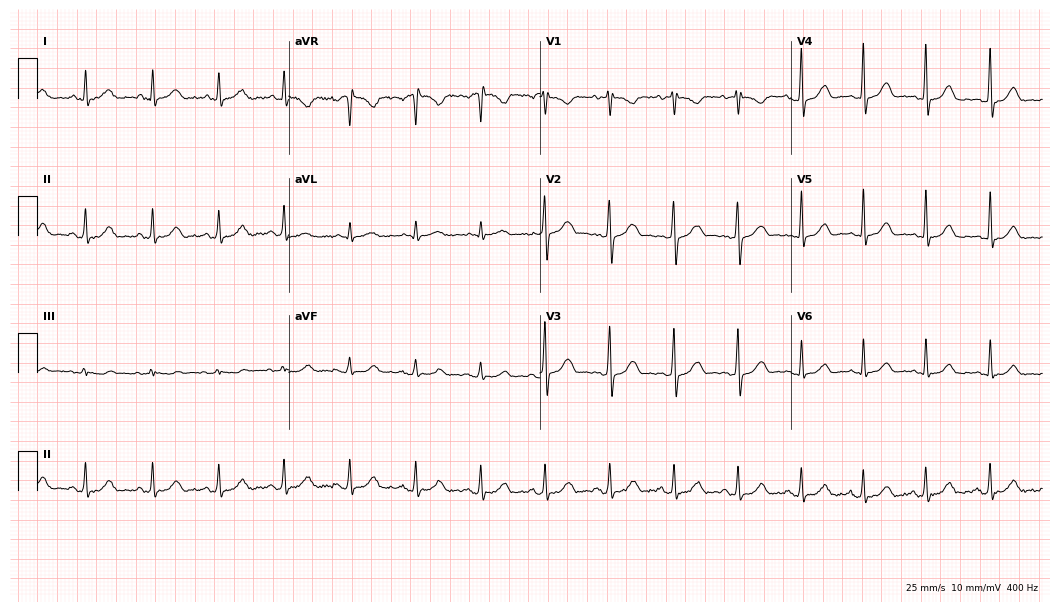
12-lead ECG from a 34-year-old female patient (10.2-second recording at 400 Hz). No first-degree AV block, right bundle branch block, left bundle branch block, sinus bradycardia, atrial fibrillation or sinus tachycardia recorded for this tracing. Only these six findings were labelled.